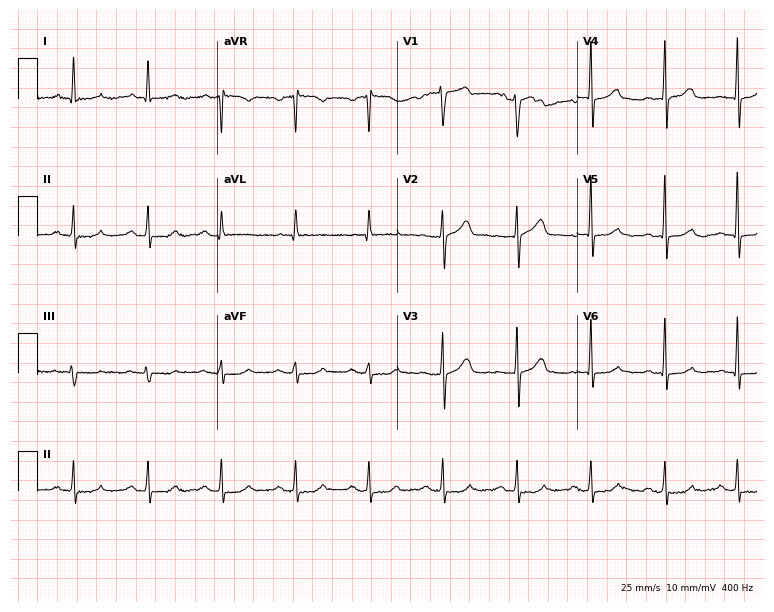
12-lead ECG from a man, 75 years old. Screened for six findings — first-degree AV block, right bundle branch block (RBBB), left bundle branch block (LBBB), sinus bradycardia, atrial fibrillation (AF), sinus tachycardia — none is recorded.